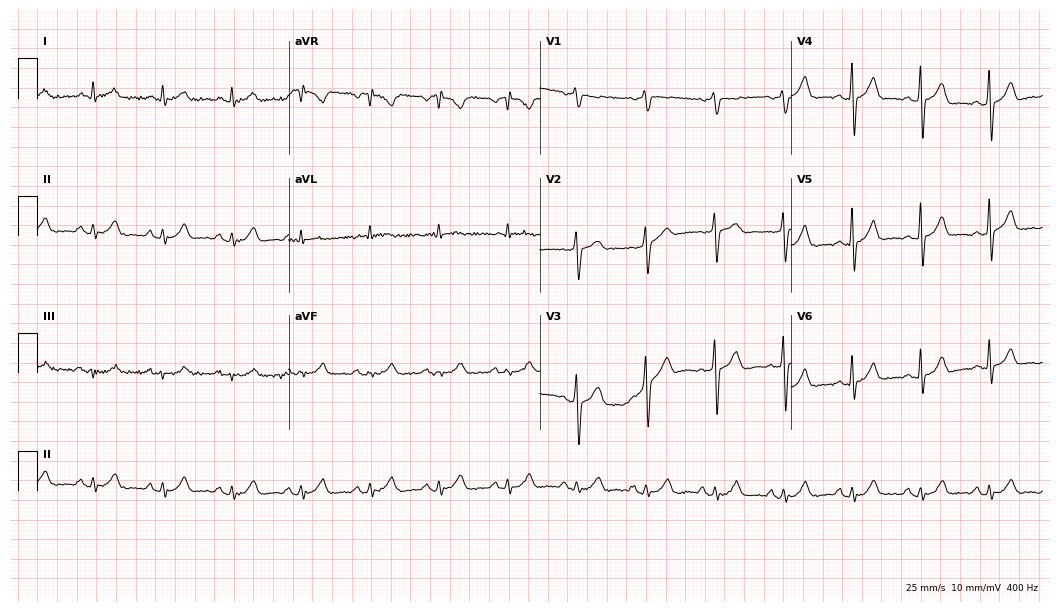
Electrocardiogram, a 66-year-old man. Overall reading on record: normal ECG.